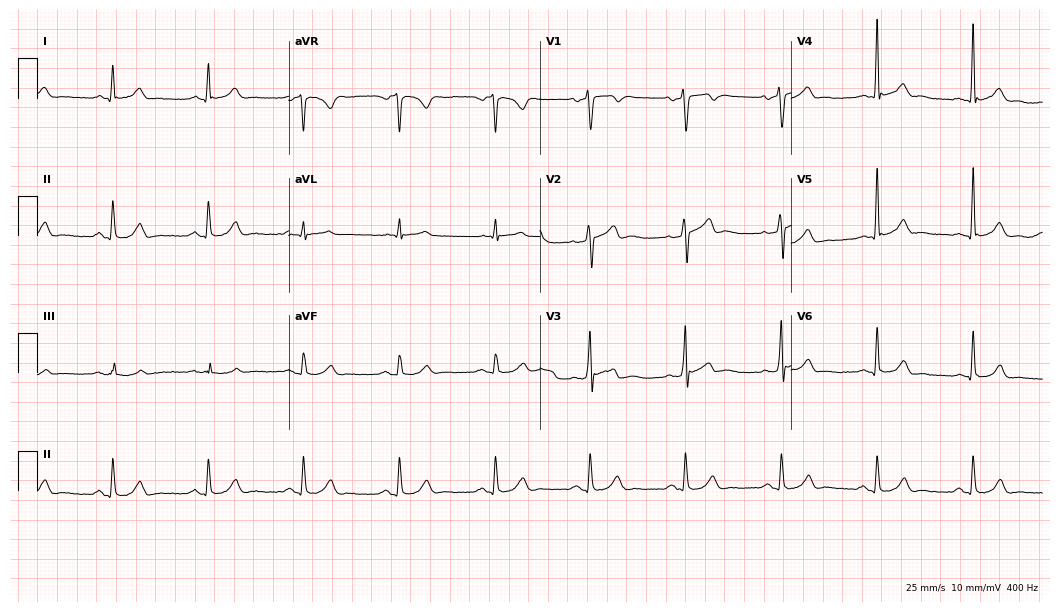
12-lead ECG from a male, 40 years old. Recorded interpretation: within normal limits.